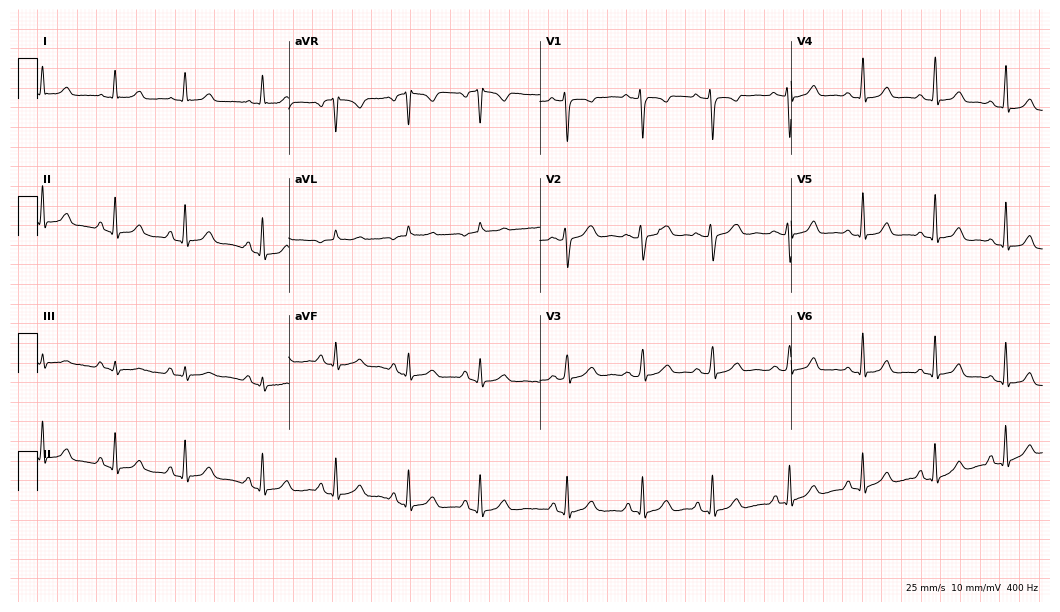
12-lead ECG (10.2-second recording at 400 Hz) from a 25-year-old female. Labelled as a normal ECG.